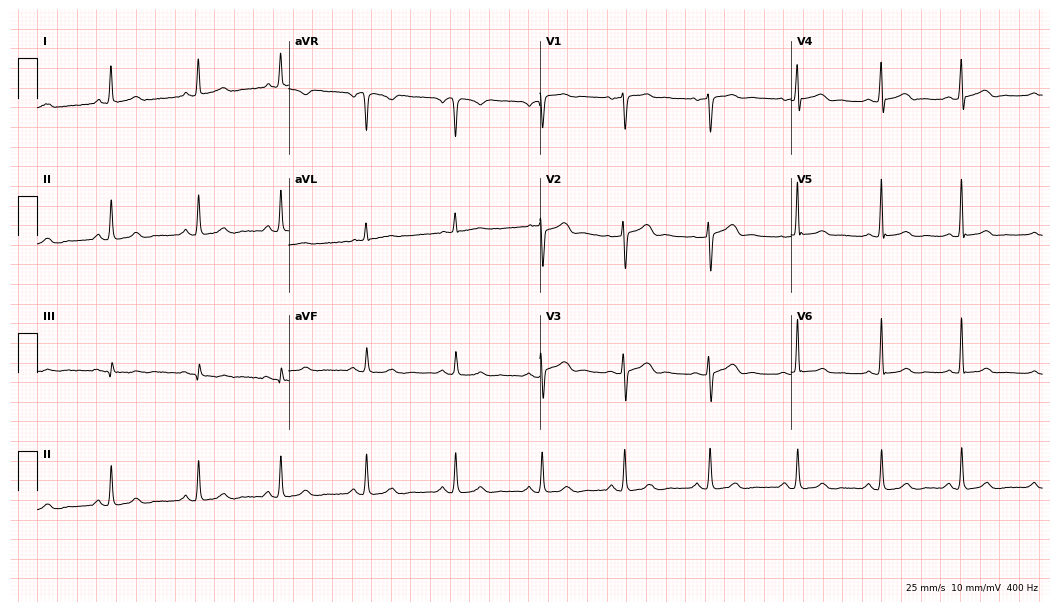
12-lead ECG (10.2-second recording at 400 Hz) from a woman, 44 years old. Labelled as a normal ECG.